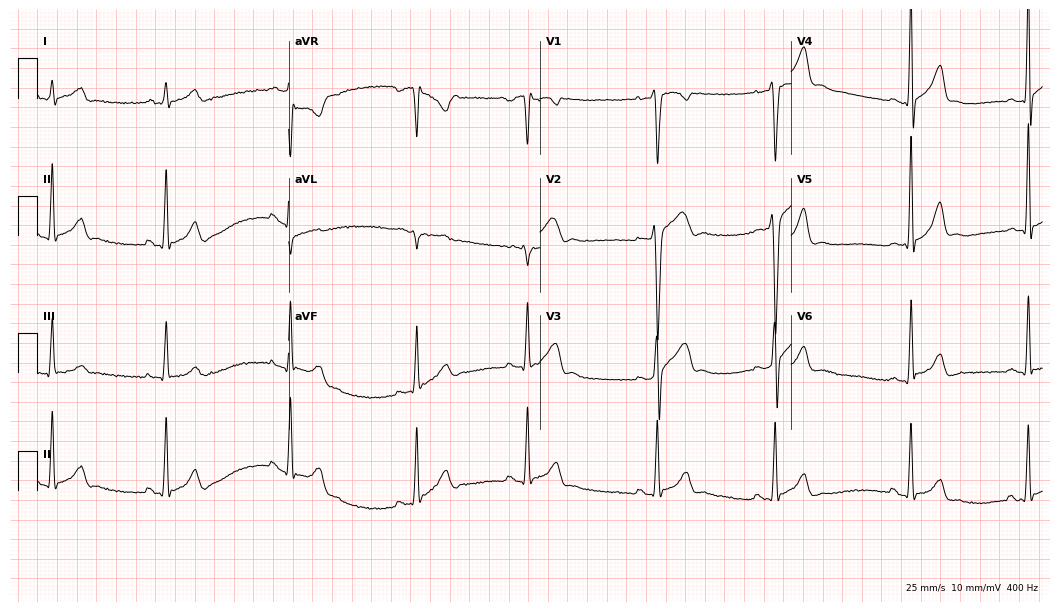
Standard 12-lead ECG recorded from a 22-year-old male patient. The tracing shows sinus bradycardia (a sinus rate of 50 beats per minute or less).